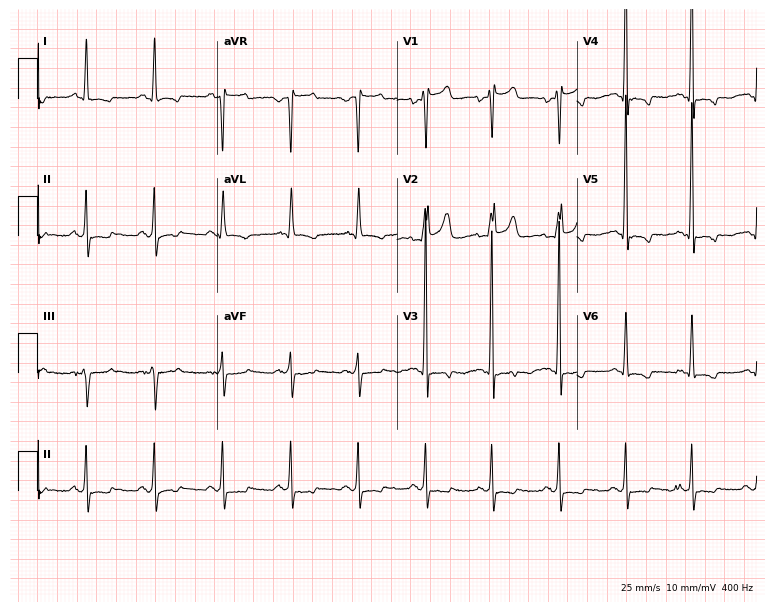
12-lead ECG from a woman, 35 years old (7.3-second recording at 400 Hz). No first-degree AV block, right bundle branch block, left bundle branch block, sinus bradycardia, atrial fibrillation or sinus tachycardia recorded for this tracing. Findings outside these six are not listed.